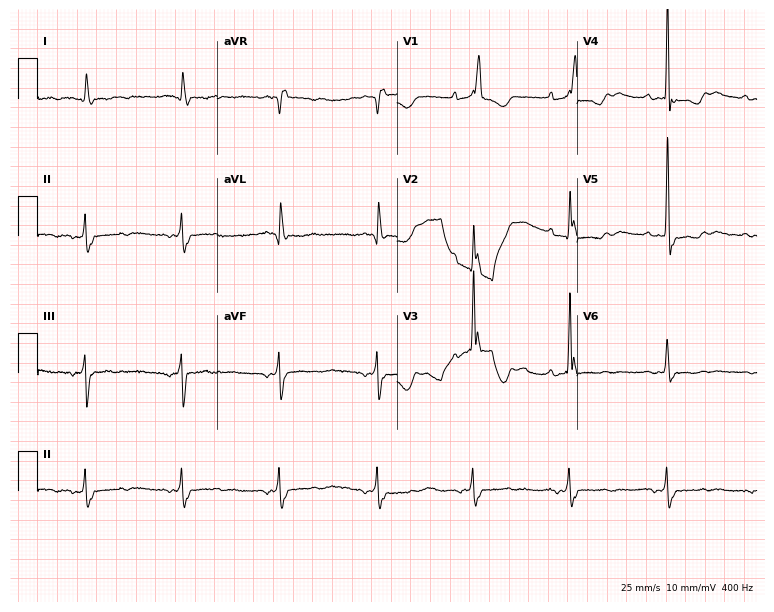
12-lead ECG (7.3-second recording at 400 Hz) from an 81-year-old man. Findings include right bundle branch block.